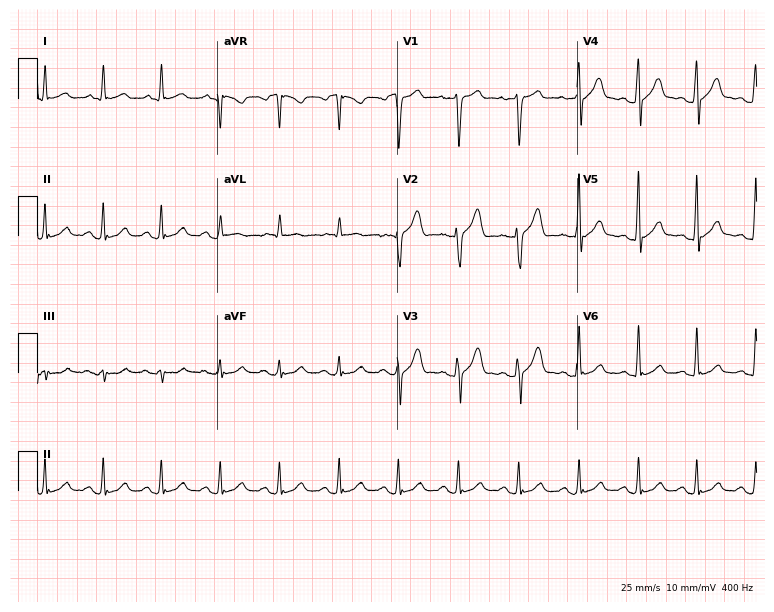
12-lead ECG (7.3-second recording at 400 Hz) from a 50-year-old male. Labelled as a normal ECG.